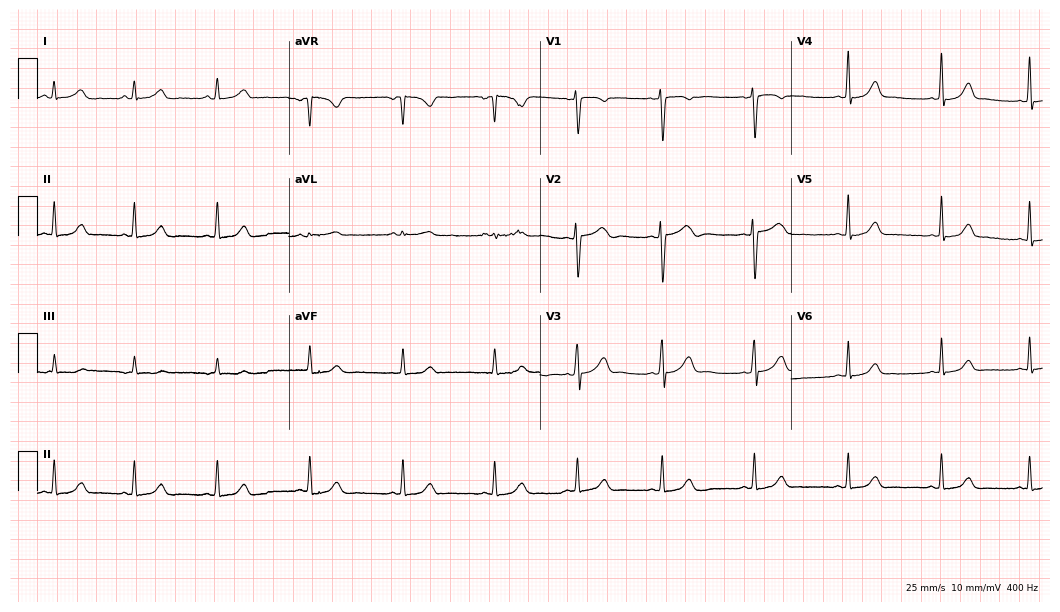
Standard 12-lead ECG recorded from a 28-year-old woman (10.2-second recording at 400 Hz). None of these six findings is recorded: first-degree AV block, right bundle branch block, left bundle branch block, sinus bradycardia, atrial fibrillation, sinus tachycardia.